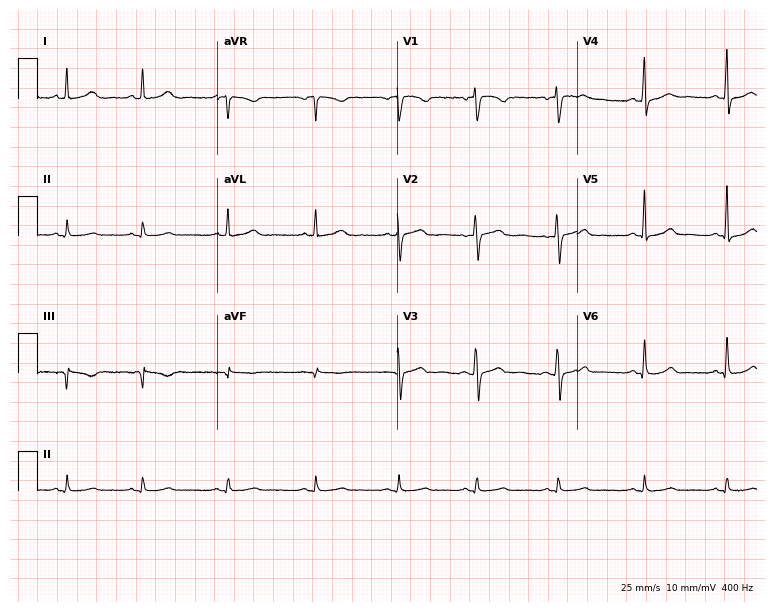
Electrocardiogram, a woman, 31 years old. Of the six screened findings (first-degree AV block, right bundle branch block, left bundle branch block, sinus bradycardia, atrial fibrillation, sinus tachycardia), none is recorded.